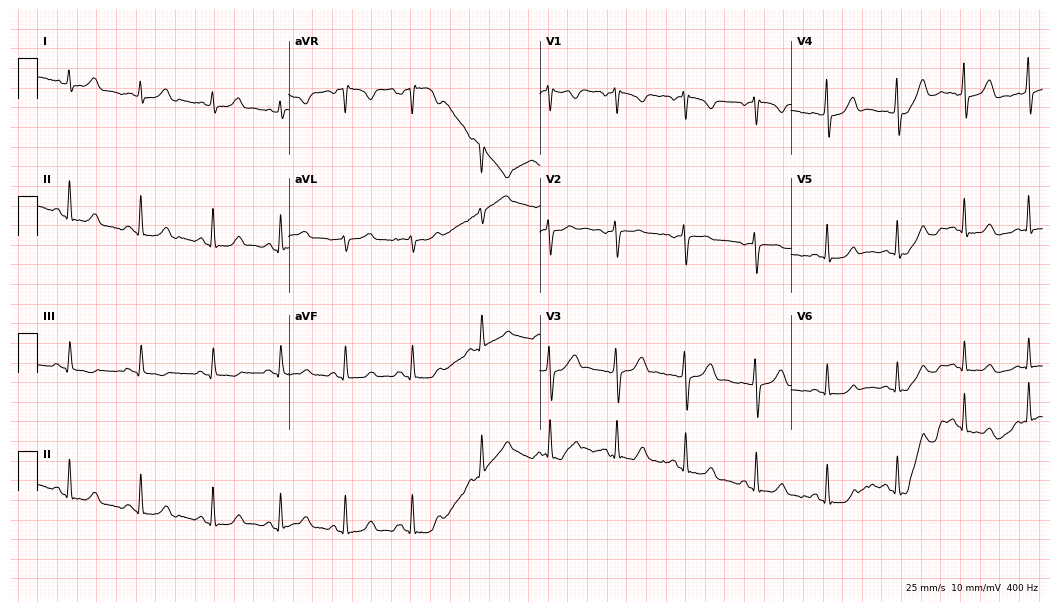
12-lead ECG from a female patient, 21 years old (10.2-second recording at 400 Hz). No first-degree AV block, right bundle branch block, left bundle branch block, sinus bradycardia, atrial fibrillation or sinus tachycardia recorded for this tracing.